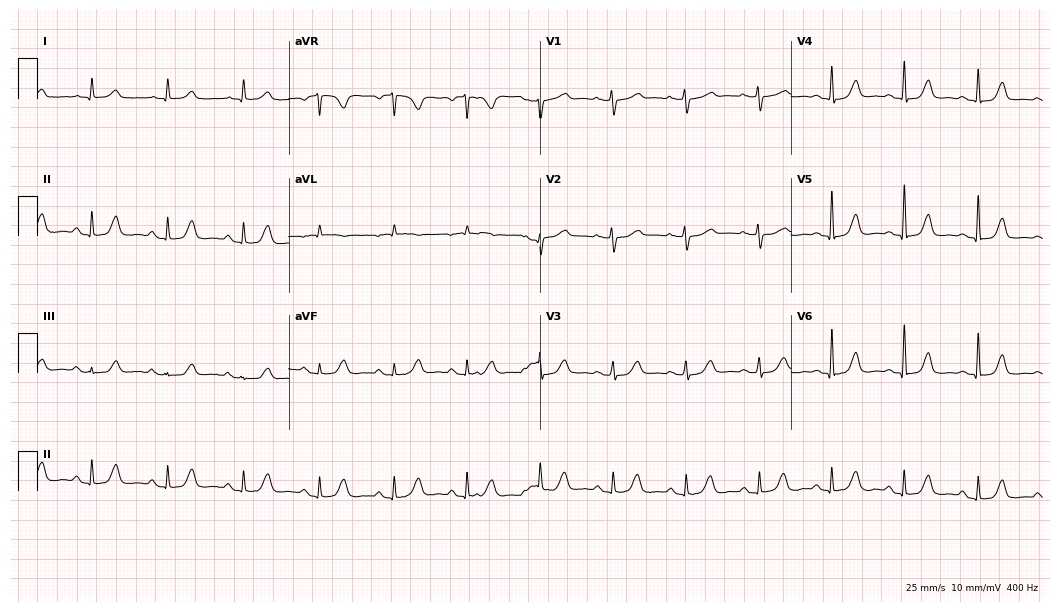
ECG — a female patient, 73 years old. Labelled as a normal ECG.